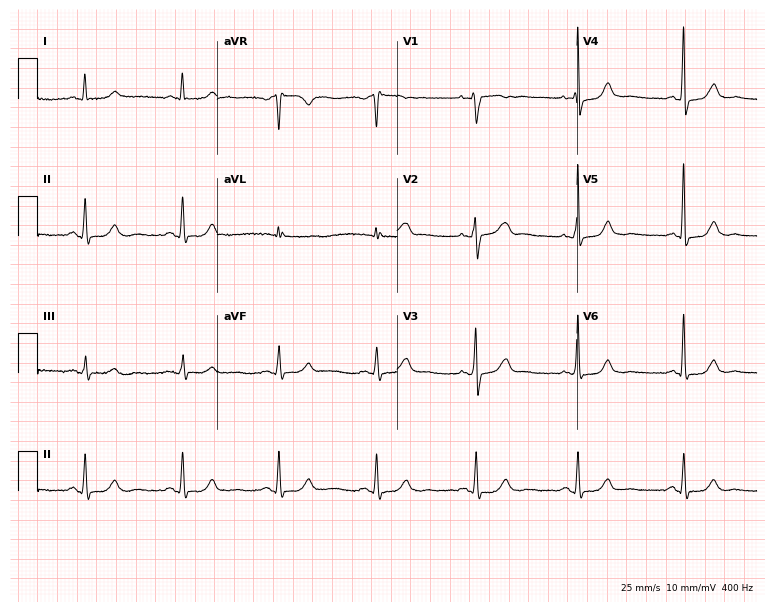
Resting 12-lead electrocardiogram. Patient: a woman, 64 years old. Read as a normal ECG.